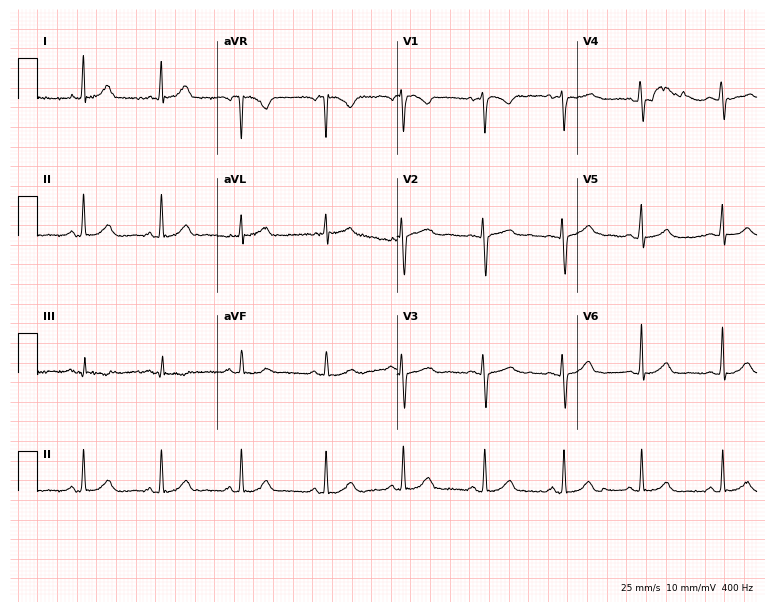
ECG — a woman, 23 years old. Screened for six findings — first-degree AV block, right bundle branch block, left bundle branch block, sinus bradycardia, atrial fibrillation, sinus tachycardia — none is recorded.